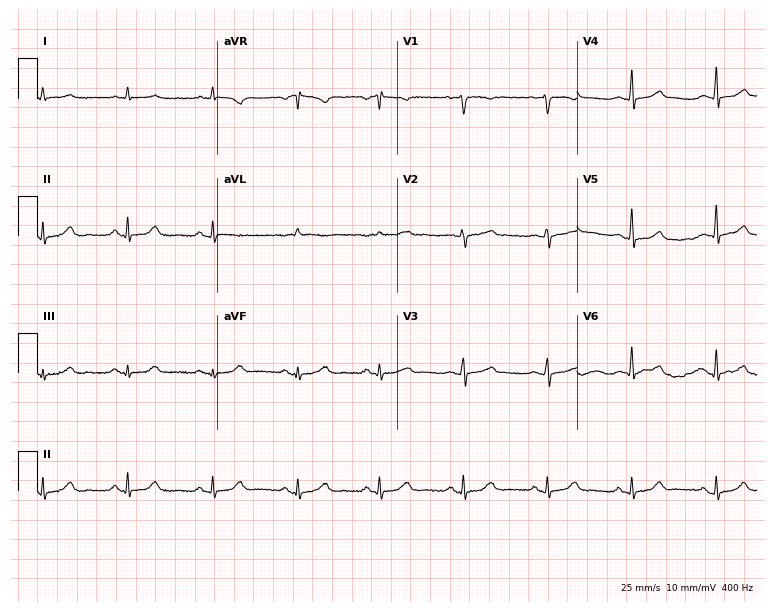
12-lead ECG from a 55-year-old female patient (7.3-second recording at 400 Hz). Recorded interpretation: within normal limits.